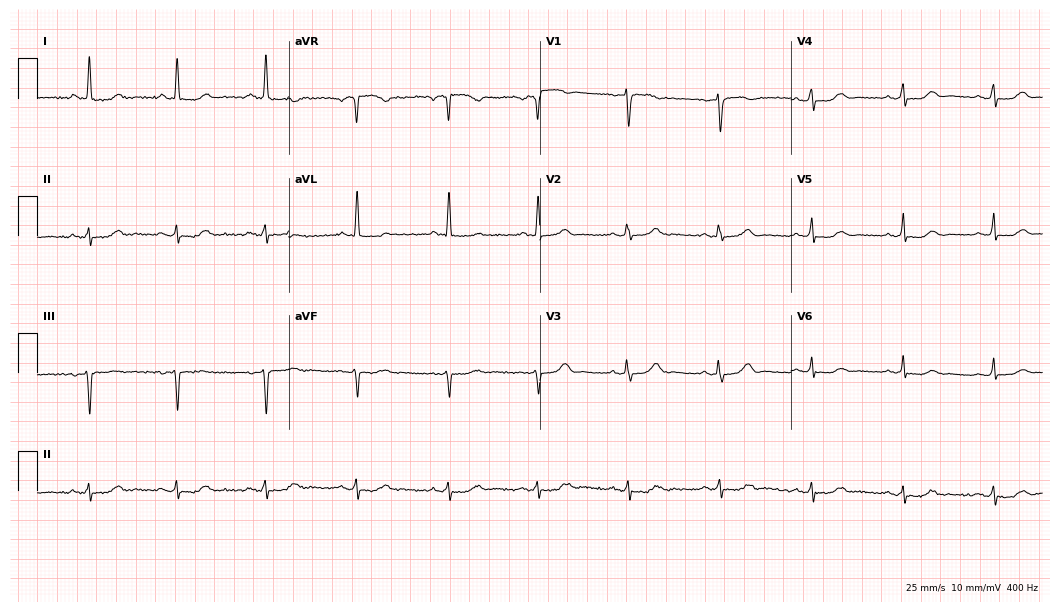
ECG — a 63-year-old female. Screened for six findings — first-degree AV block, right bundle branch block, left bundle branch block, sinus bradycardia, atrial fibrillation, sinus tachycardia — none is recorded.